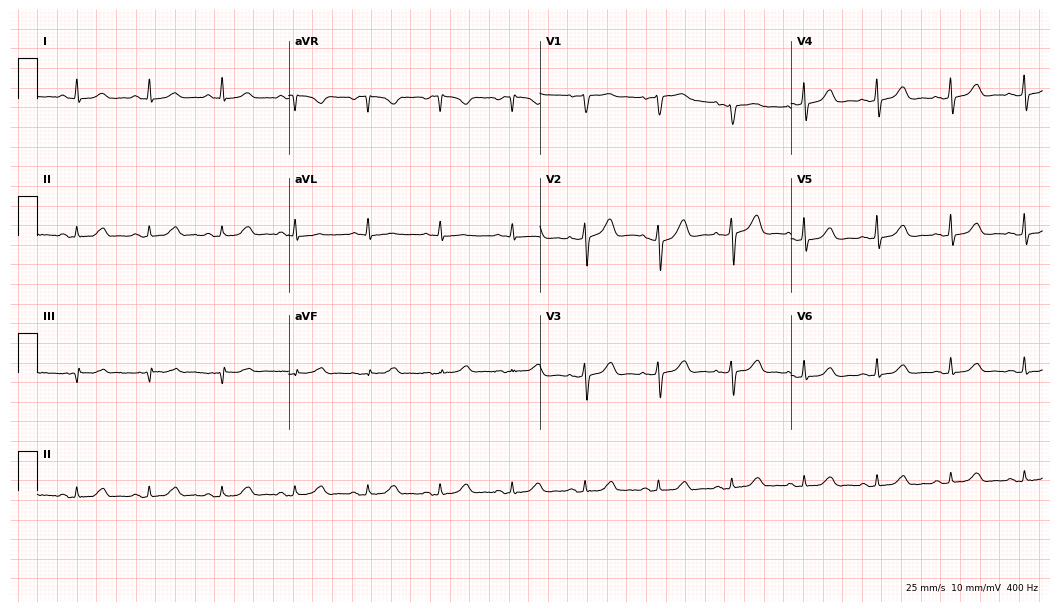
Standard 12-lead ECG recorded from a 59-year-old female patient (10.2-second recording at 400 Hz). Read as a normal ECG.